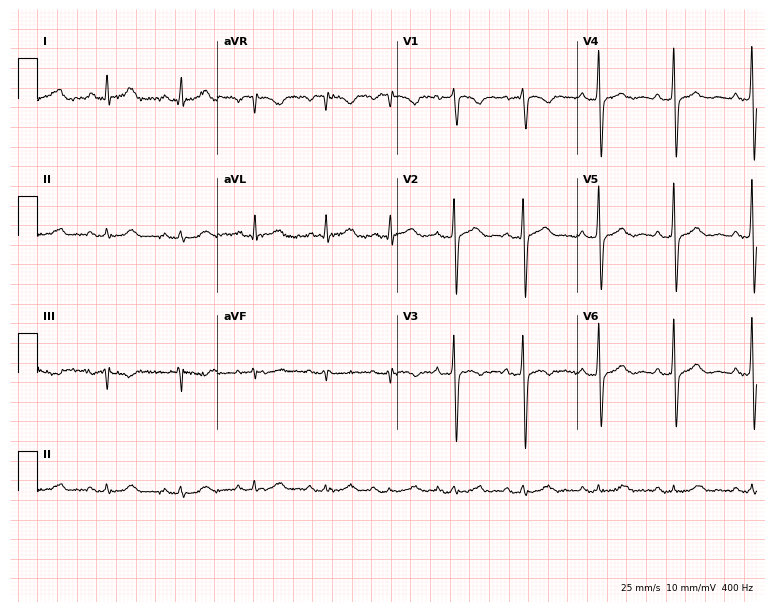
12-lead ECG from a man, 67 years old. Screened for six findings — first-degree AV block, right bundle branch block, left bundle branch block, sinus bradycardia, atrial fibrillation, sinus tachycardia — none is recorded. Findings outside these six are not listed.